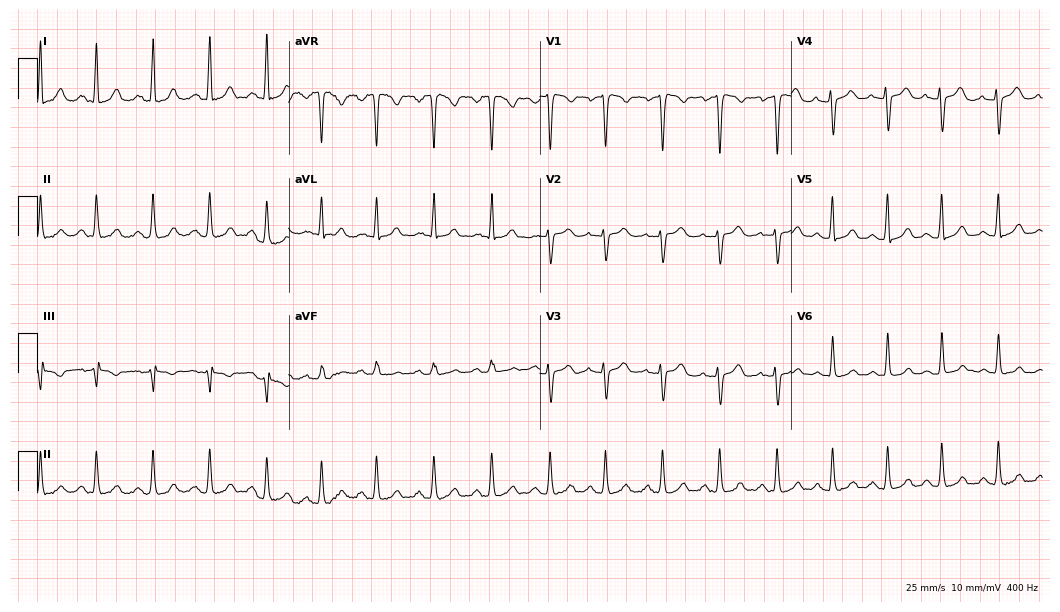
Electrocardiogram (10.2-second recording at 400 Hz), a female, 43 years old. Interpretation includes sinus tachycardia (a sinus rate of 100 beats per minute or more).